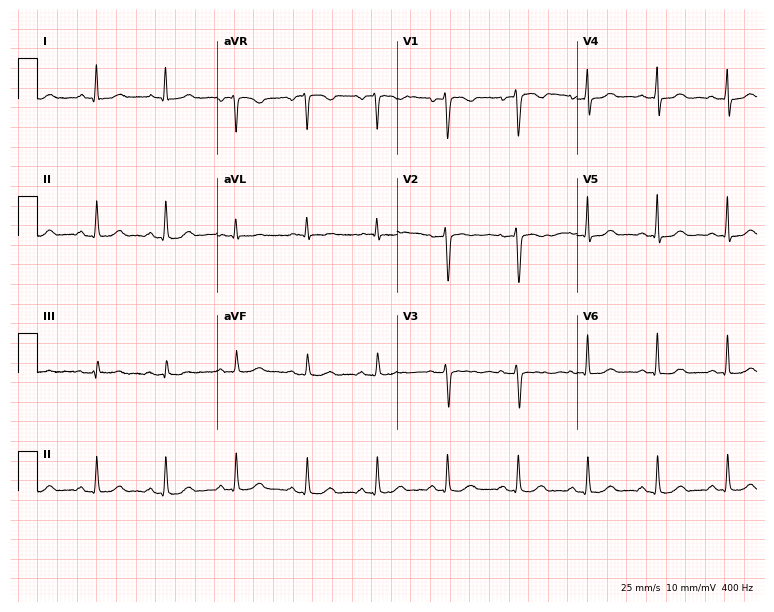
Electrocardiogram (7.3-second recording at 400 Hz), a 53-year-old woman. Of the six screened findings (first-degree AV block, right bundle branch block (RBBB), left bundle branch block (LBBB), sinus bradycardia, atrial fibrillation (AF), sinus tachycardia), none is recorded.